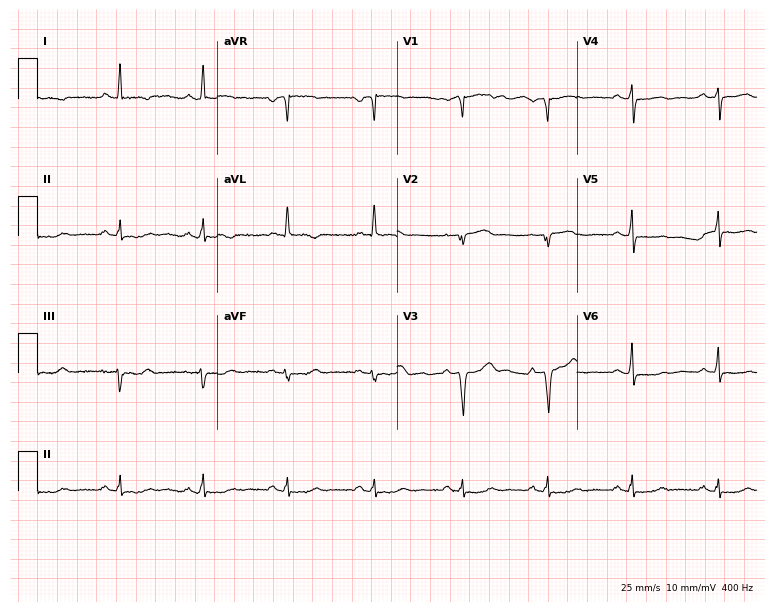
ECG — a man, 71 years old. Screened for six findings — first-degree AV block, right bundle branch block, left bundle branch block, sinus bradycardia, atrial fibrillation, sinus tachycardia — none is recorded. Other findings, if any, are not listed.